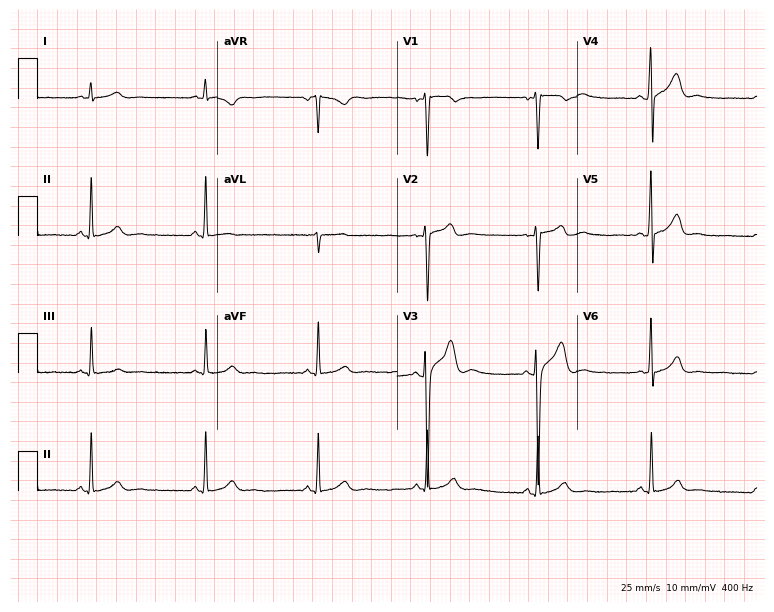
12-lead ECG (7.3-second recording at 400 Hz) from a 32-year-old man. Screened for six findings — first-degree AV block, right bundle branch block, left bundle branch block, sinus bradycardia, atrial fibrillation, sinus tachycardia — none is recorded. Findings outside these six are not listed.